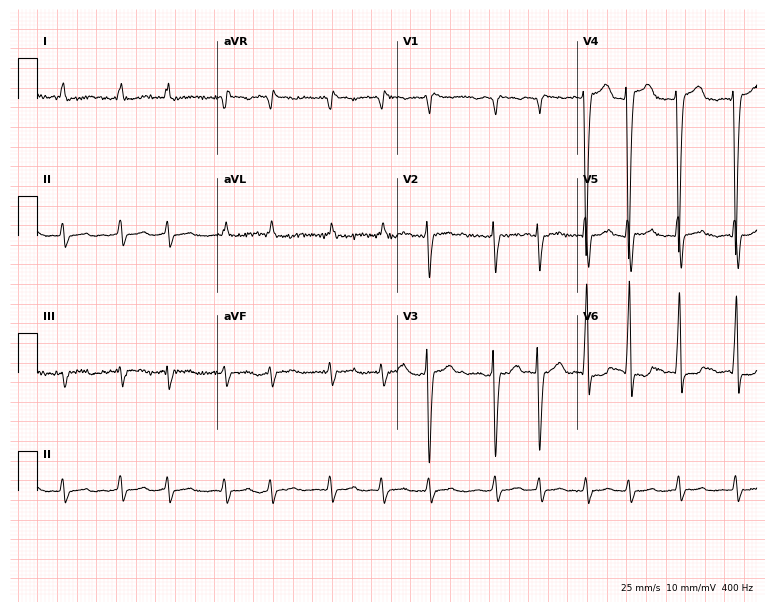
ECG — an 82-year-old female. Findings include atrial fibrillation.